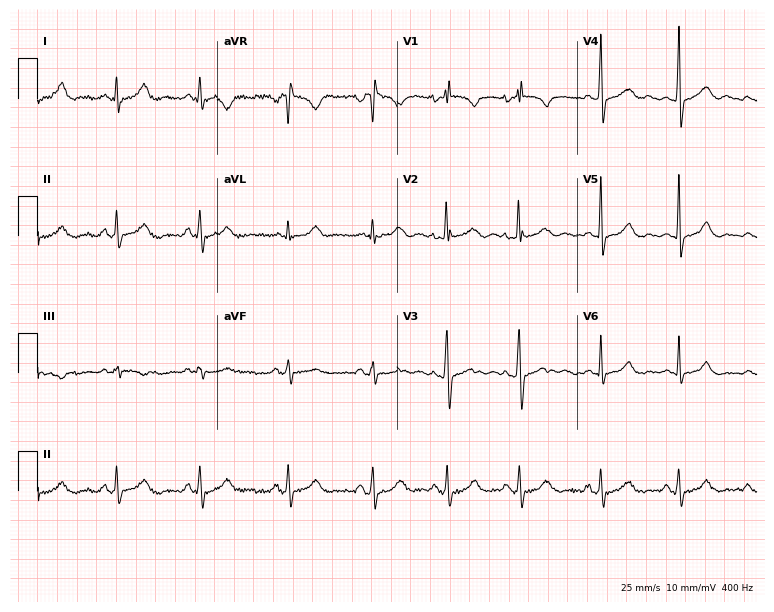
Electrocardiogram, a woman, 24 years old. Overall reading on record: normal ECG.